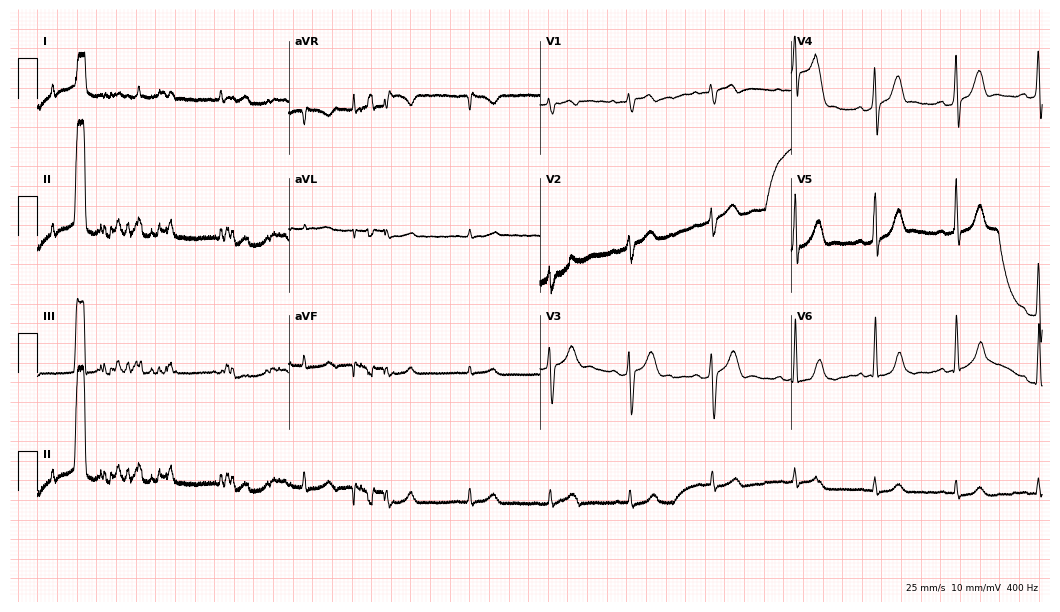
Standard 12-lead ECG recorded from a 44-year-old man (10.2-second recording at 400 Hz). None of these six findings is recorded: first-degree AV block, right bundle branch block, left bundle branch block, sinus bradycardia, atrial fibrillation, sinus tachycardia. Findings outside these six are not listed.